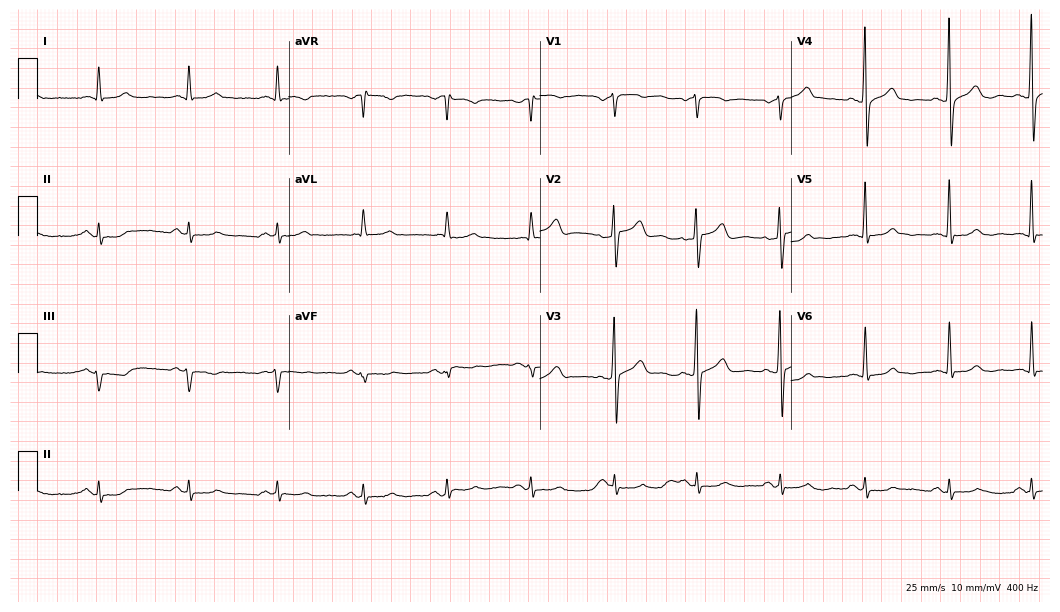
12-lead ECG from a male patient, 60 years old. Recorded interpretation: within normal limits.